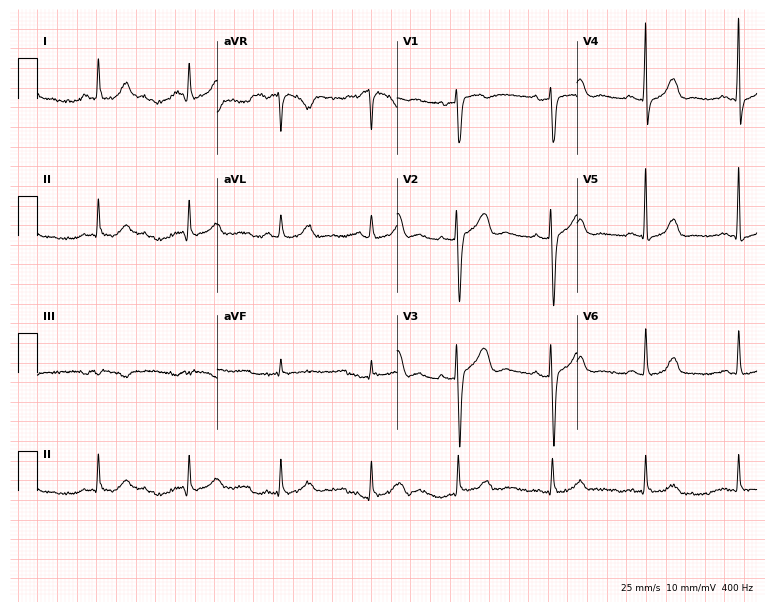
Standard 12-lead ECG recorded from a 68-year-old woman (7.3-second recording at 400 Hz). None of these six findings is recorded: first-degree AV block, right bundle branch block, left bundle branch block, sinus bradycardia, atrial fibrillation, sinus tachycardia.